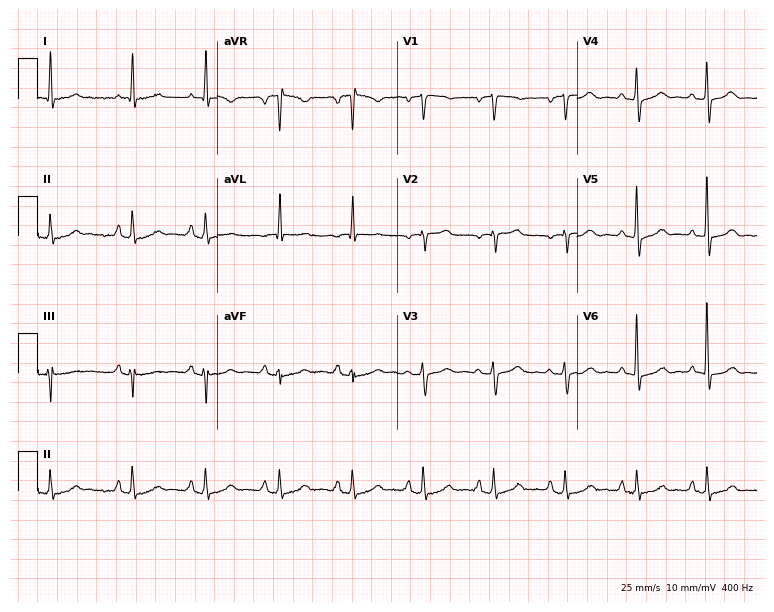
12-lead ECG from a 78-year-old female patient. No first-degree AV block, right bundle branch block, left bundle branch block, sinus bradycardia, atrial fibrillation or sinus tachycardia recorded for this tracing. Other findings, if any, are not listed.